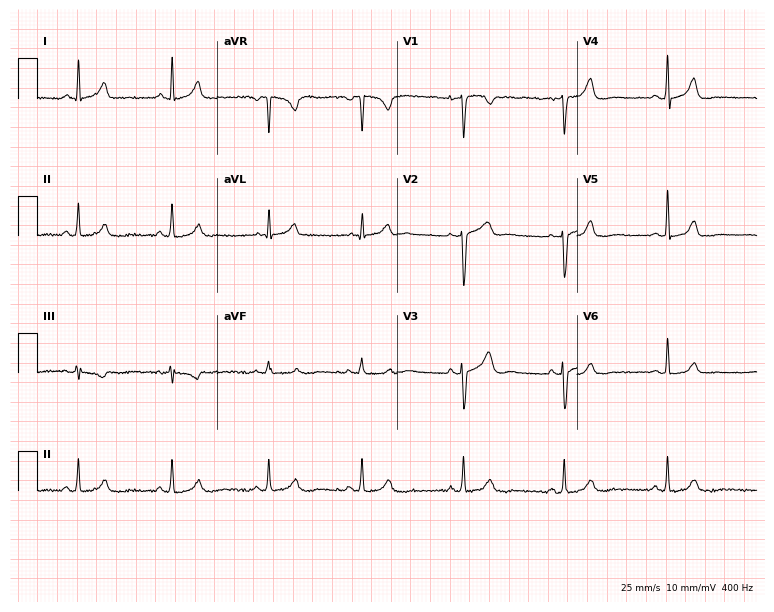
Resting 12-lead electrocardiogram. Patient: a female, 39 years old. Read as a normal ECG.